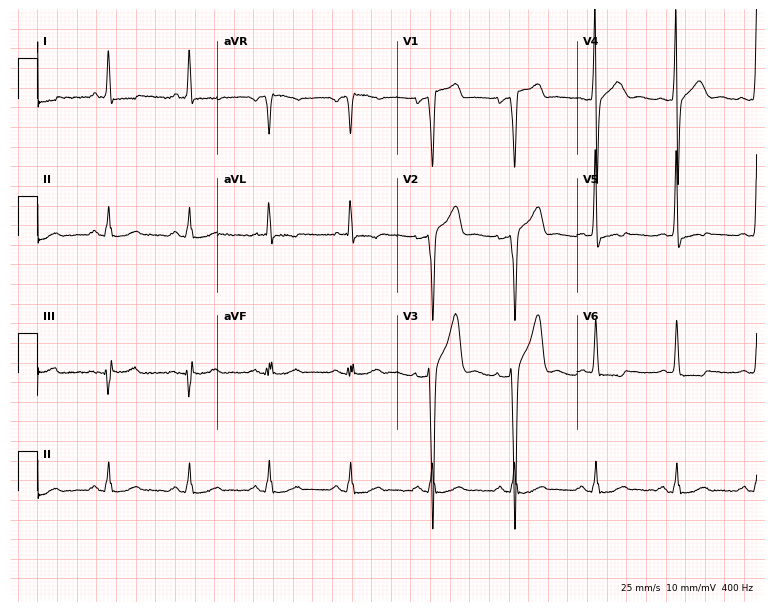
Resting 12-lead electrocardiogram (7.3-second recording at 400 Hz). Patient: a man, 58 years old. None of these six findings is recorded: first-degree AV block, right bundle branch block, left bundle branch block, sinus bradycardia, atrial fibrillation, sinus tachycardia.